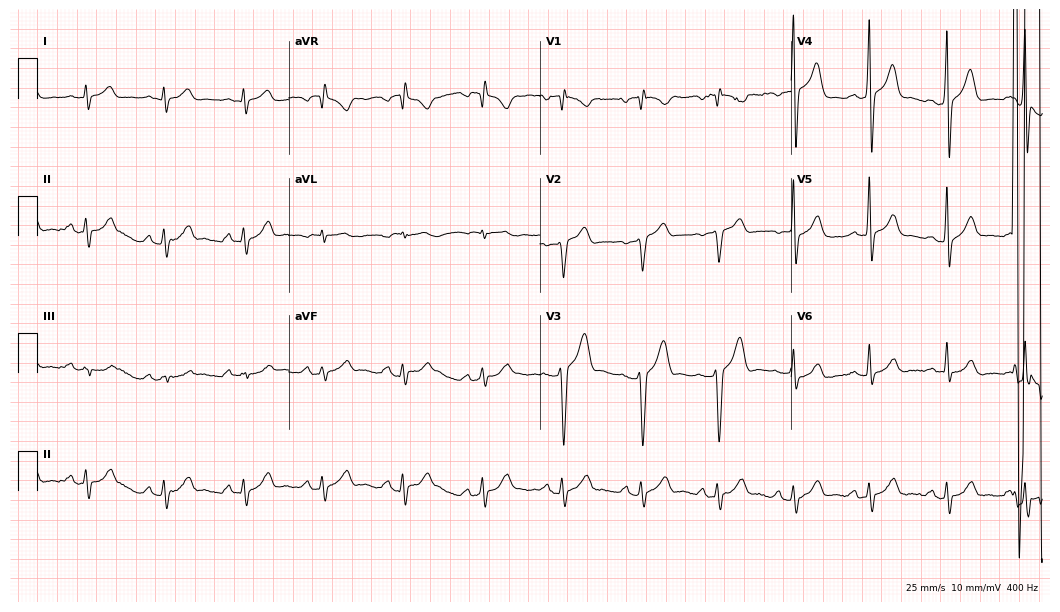
12-lead ECG from a male patient, 43 years old. No first-degree AV block, right bundle branch block (RBBB), left bundle branch block (LBBB), sinus bradycardia, atrial fibrillation (AF) or sinus tachycardia recorded for this tracing.